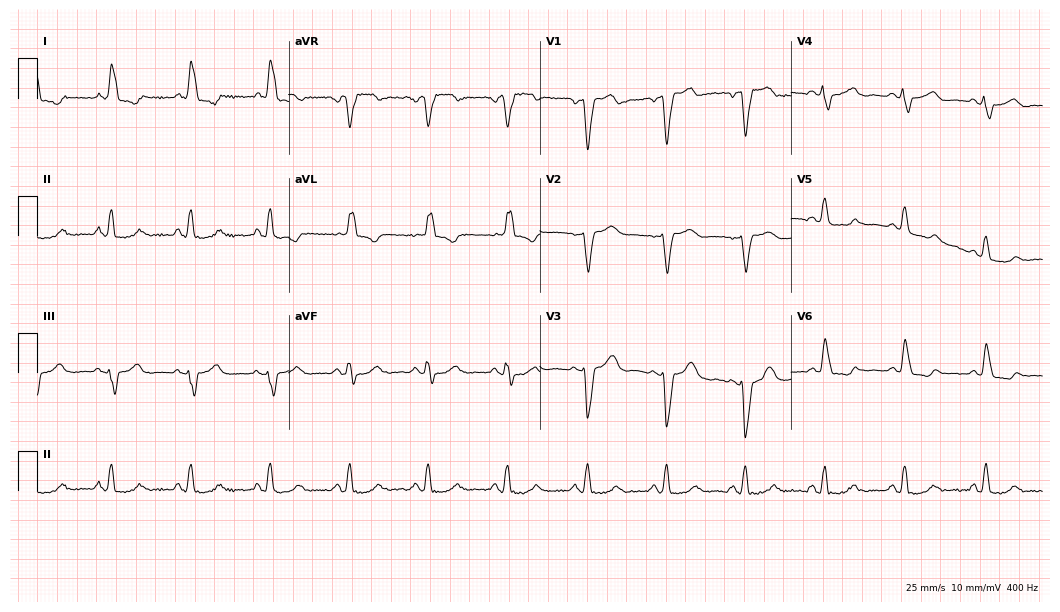
Resting 12-lead electrocardiogram (10.2-second recording at 400 Hz). Patient: a 62-year-old female. The tracing shows left bundle branch block (LBBB).